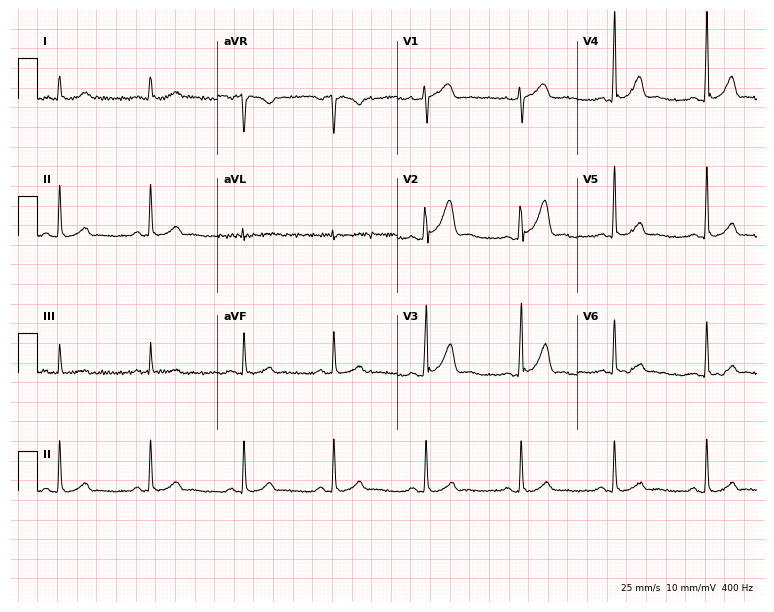
Resting 12-lead electrocardiogram. Patient: a male, 32 years old. None of these six findings is recorded: first-degree AV block, right bundle branch block, left bundle branch block, sinus bradycardia, atrial fibrillation, sinus tachycardia.